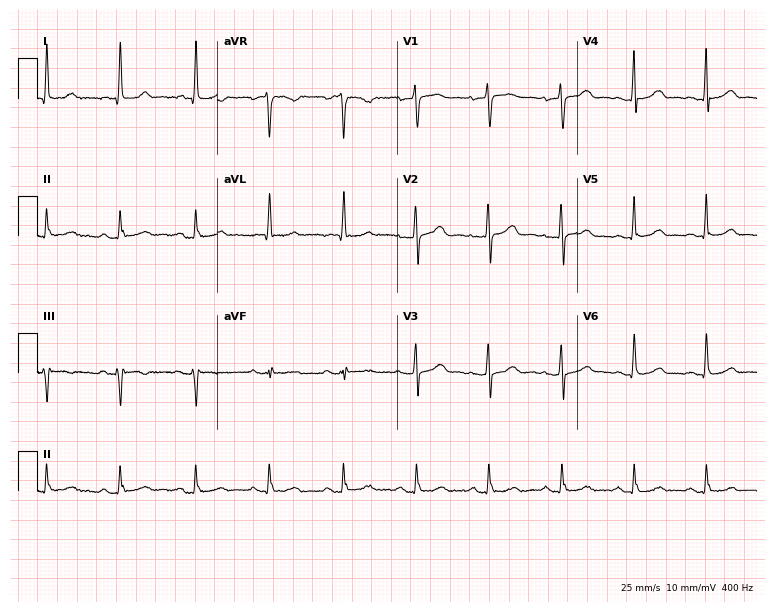
Resting 12-lead electrocardiogram (7.3-second recording at 400 Hz). Patient: a female, 70 years old. None of these six findings is recorded: first-degree AV block, right bundle branch block, left bundle branch block, sinus bradycardia, atrial fibrillation, sinus tachycardia.